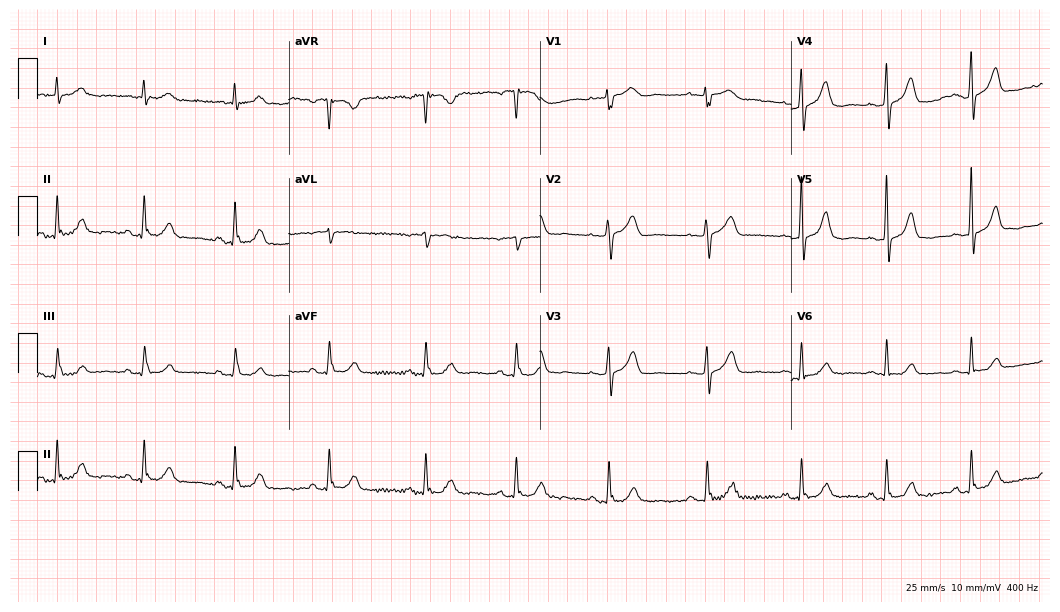
12-lead ECG from a 74-year-old woman. Labelled as a normal ECG.